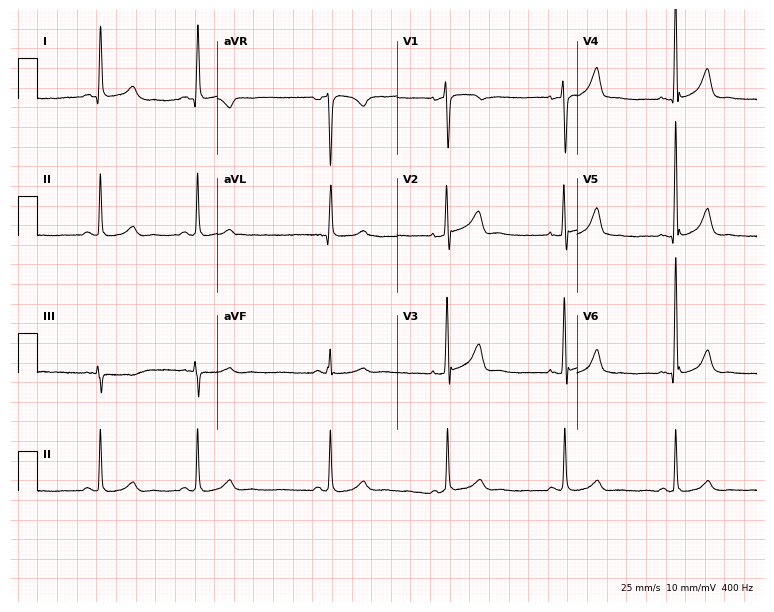
12-lead ECG from a female, 45 years old. Screened for six findings — first-degree AV block, right bundle branch block, left bundle branch block, sinus bradycardia, atrial fibrillation, sinus tachycardia — none is recorded.